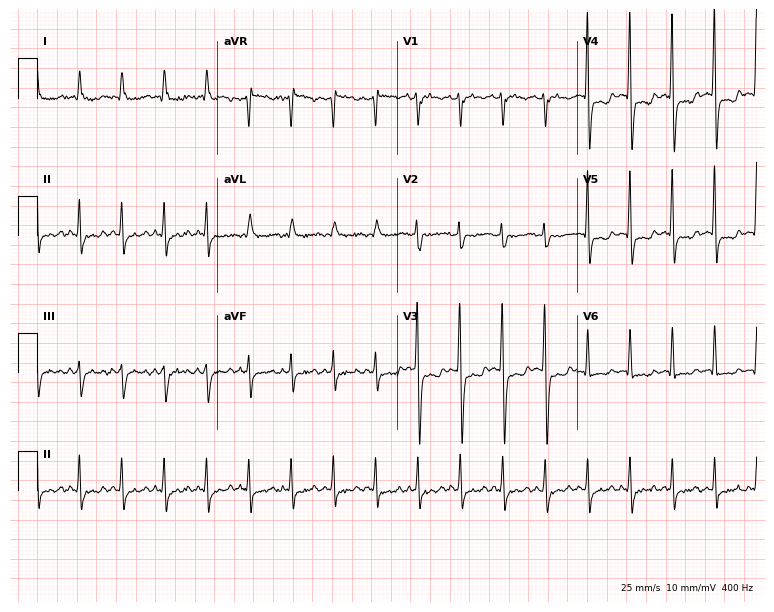
12-lead ECG (7.3-second recording at 400 Hz) from an 80-year-old woman. Screened for six findings — first-degree AV block, right bundle branch block, left bundle branch block, sinus bradycardia, atrial fibrillation, sinus tachycardia — none is recorded.